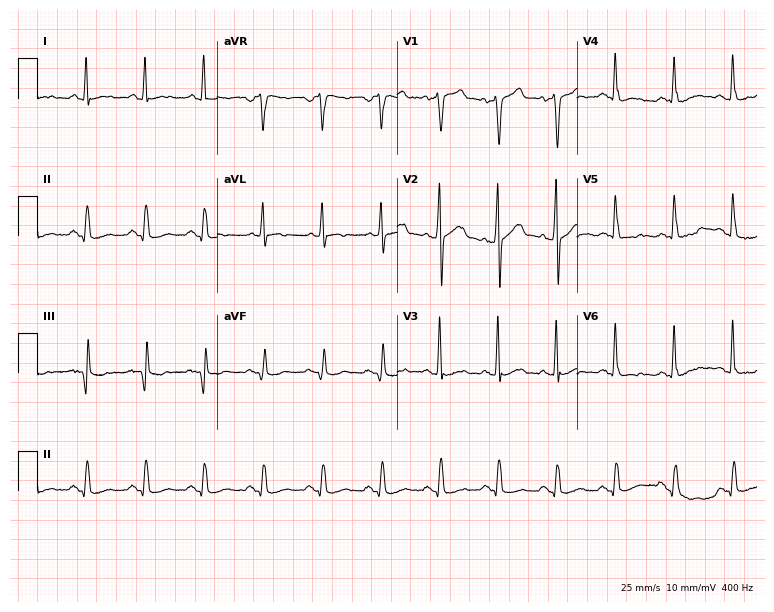
12-lead ECG from a man, 61 years old (7.3-second recording at 400 Hz). No first-degree AV block, right bundle branch block, left bundle branch block, sinus bradycardia, atrial fibrillation or sinus tachycardia recorded for this tracing.